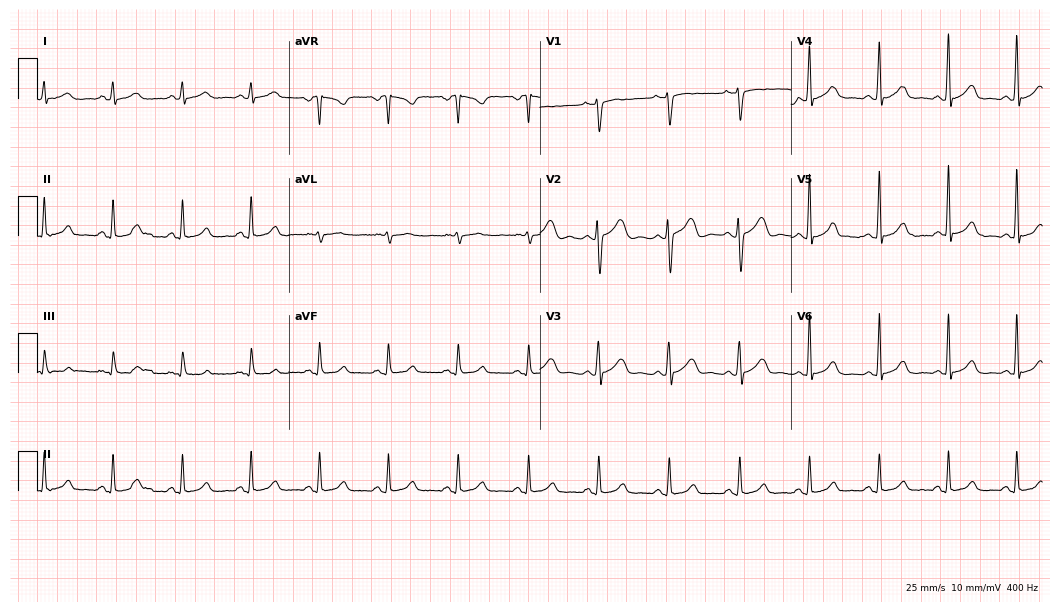
Standard 12-lead ECG recorded from a 31-year-old female (10.2-second recording at 400 Hz). Read as a normal ECG.